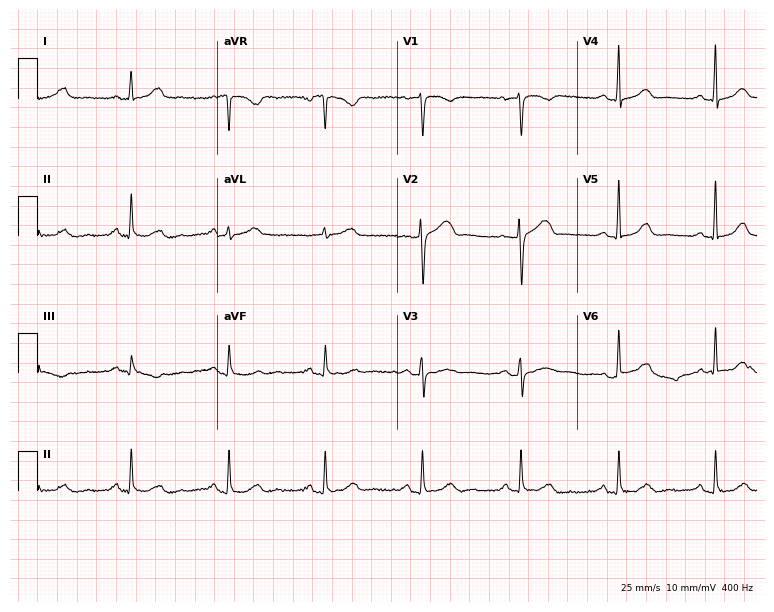
Resting 12-lead electrocardiogram. Patient: a female, 56 years old. Read as a normal ECG.